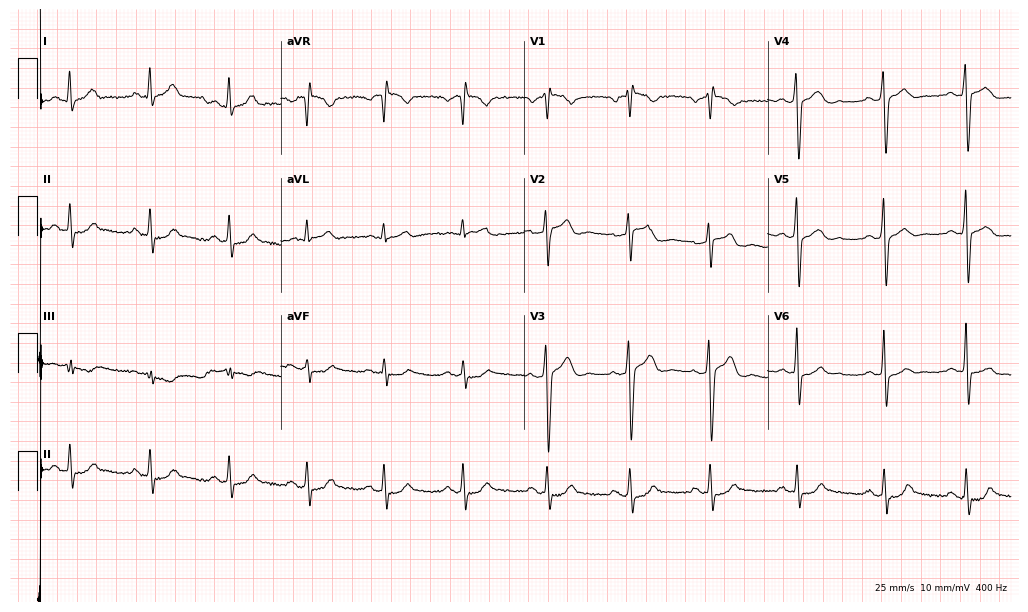
12-lead ECG (9.9-second recording at 400 Hz) from a male patient, 42 years old. Labelled as a normal ECG.